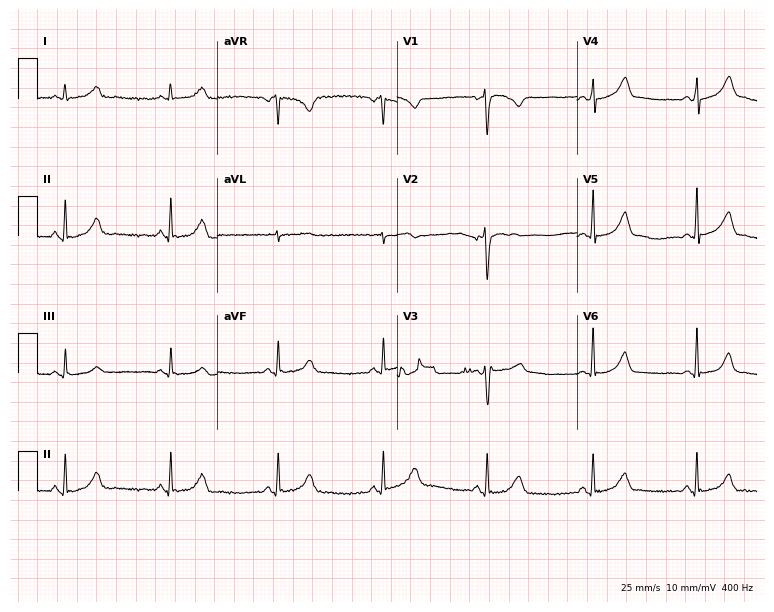
12-lead ECG from a 39-year-old female patient (7.3-second recording at 400 Hz). Recorded interpretation: within normal limits.